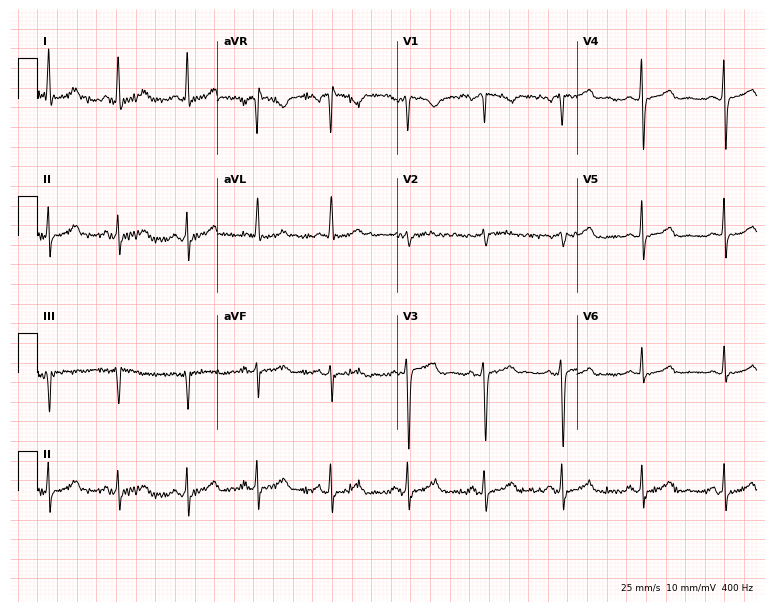
12-lead ECG from a female, 37 years old. No first-degree AV block, right bundle branch block (RBBB), left bundle branch block (LBBB), sinus bradycardia, atrial fibrillation (AF) or sinus tachycardia recorded for this tracing.